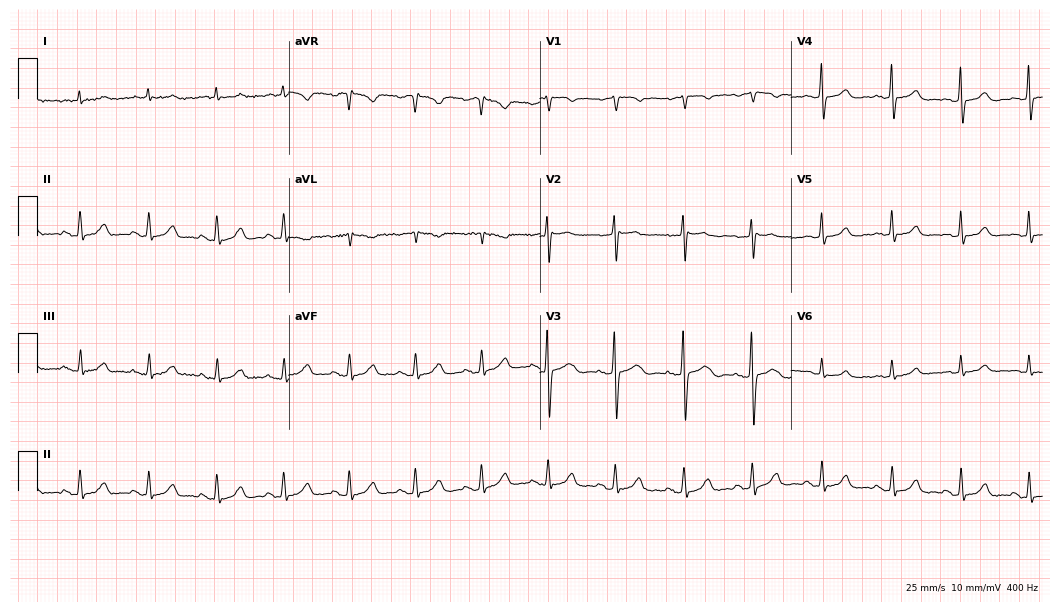
12-lead ECG from a 67-year-old male. Screened for six findings — first-degree AV block, right bundle branch block, left bundle branch block, sinus bradycardia, atrial fibrillation, sinus tachycardia — none is recorded. Findings outside these six are not listed.